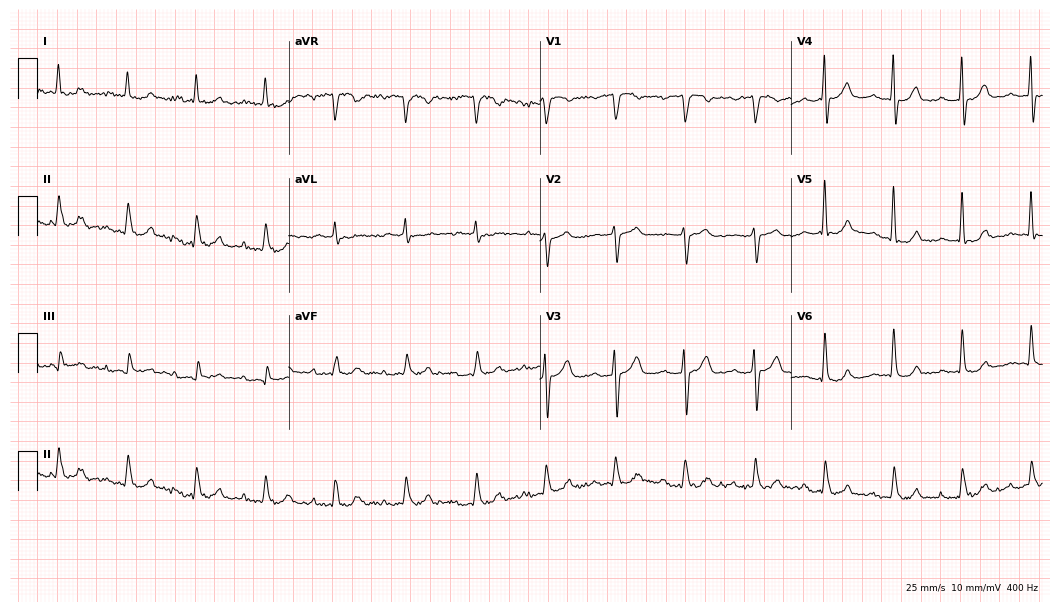
12-lead ECG from a 66-year-old man. Labelled as a normal ECG.